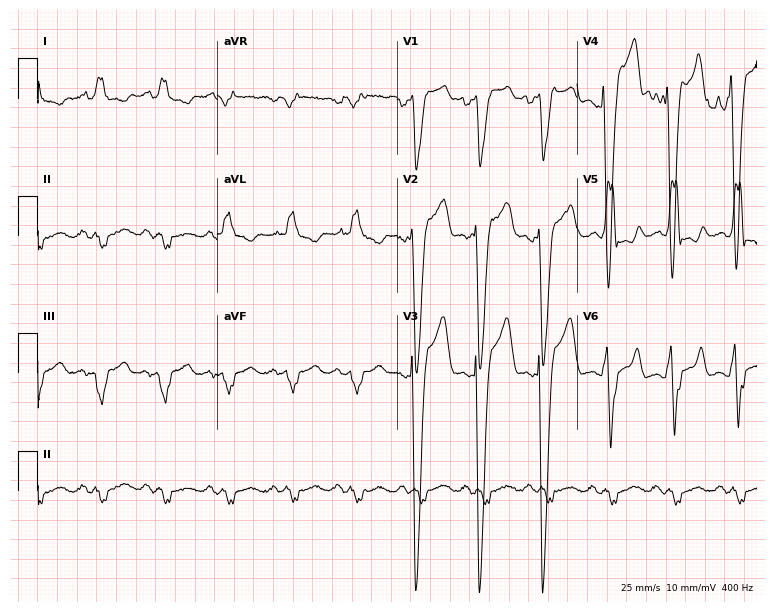
12-lead ECG (7.3-second recording at 400 Hz) from a male, 48 years old. Findings include left bundle branch block.